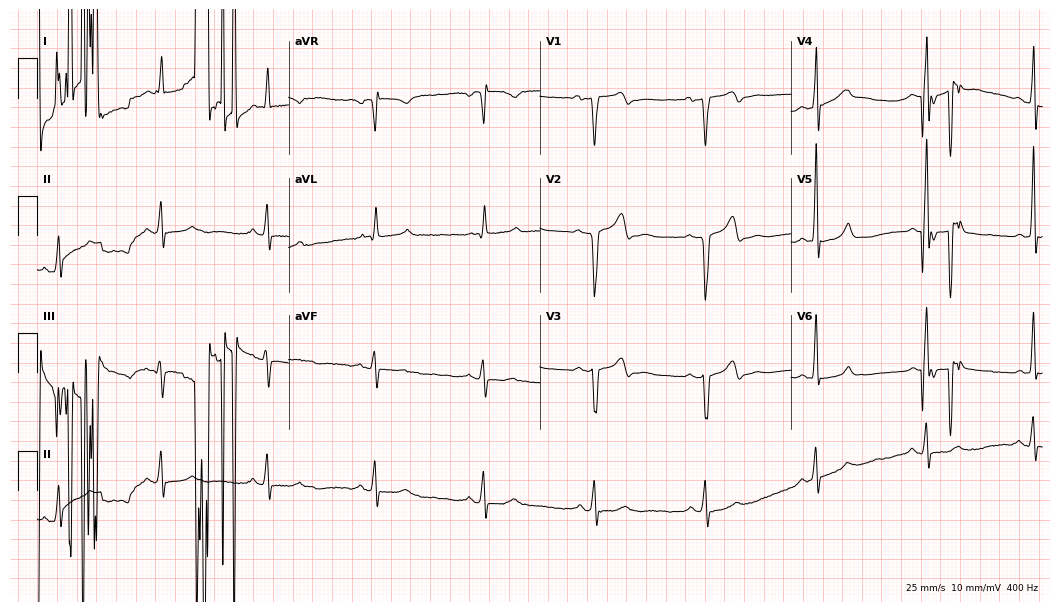
12-lead ECG from a 74-year-old male patient (10.2-second recording at 400 Hz). No first-degree AV block, right bundle branch block (RBBB), left bundle branch block (LBBB), sinus bradycardia, atrial fibrillation (AF) or sinus tachycardia recorded for this tracing. Other findings, if any, are not listed.